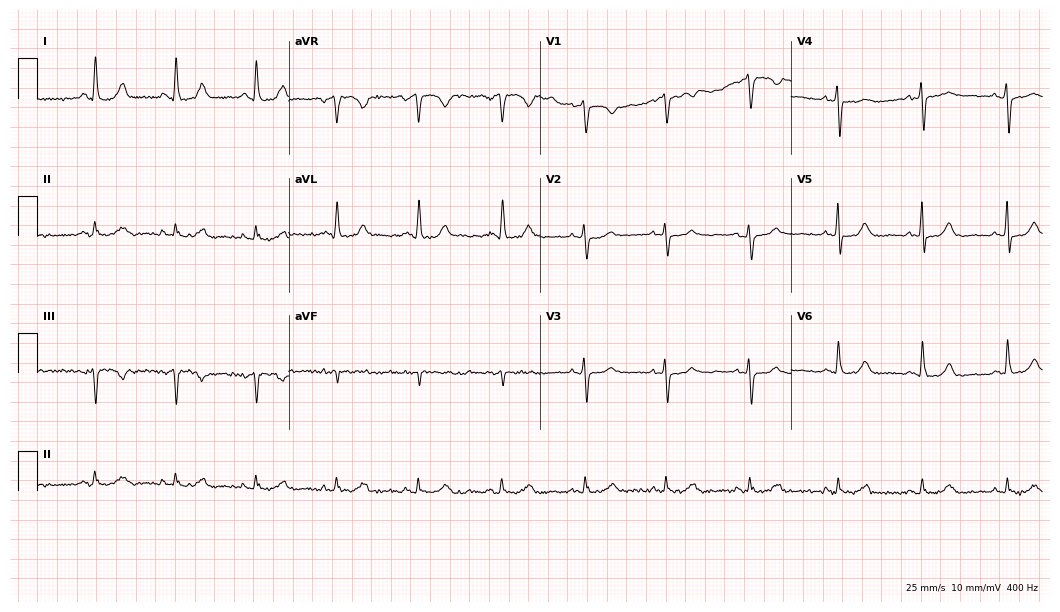
Electrocardiogram (10.2-second recording at 400 Hz), a 68-year-old female patient. Overall reading on record: normal ECG.